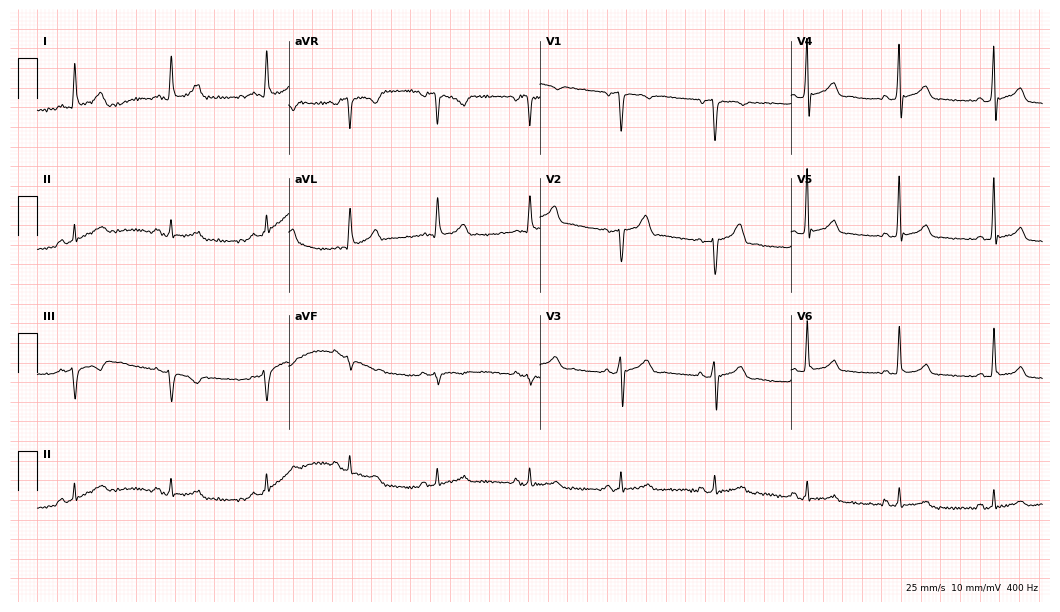
12-lead ECG from a 45-year-old male (10.2-second recording at 400 Hz). Recorded interpretation: within normal limits.